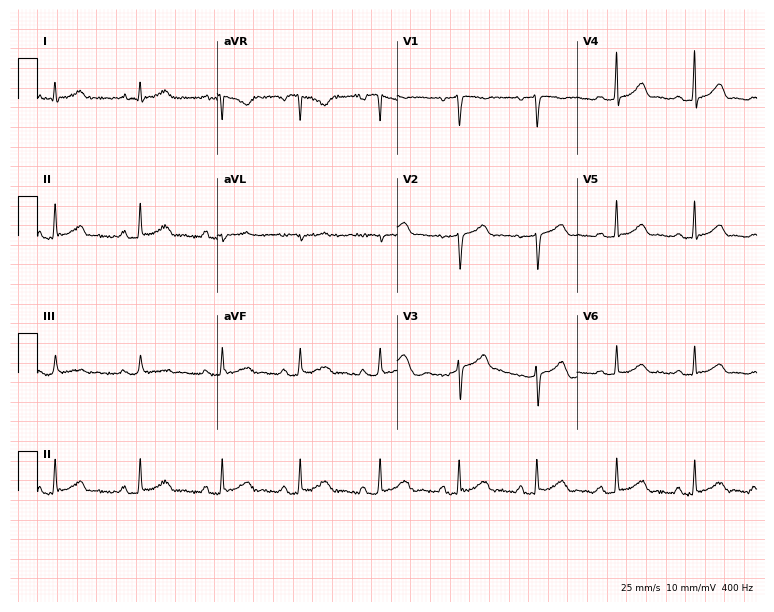
ECG (7.3-second recording at 400 Hz) — a 28-year-old male patient. Labelled as a normal ECG.